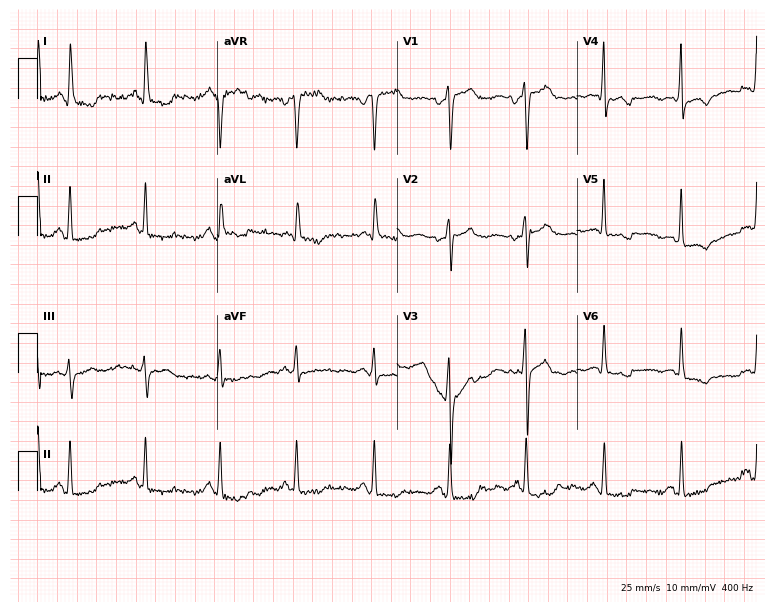
ECG (7.3-second recording at 400 Hz) — a female, 50 years old. Screened for six findings — first-degree AV block, right bundle branch block, left bundle branch block, sinus bradycardia, atrial fibrillation, sinus tachycardia — none is recorded.